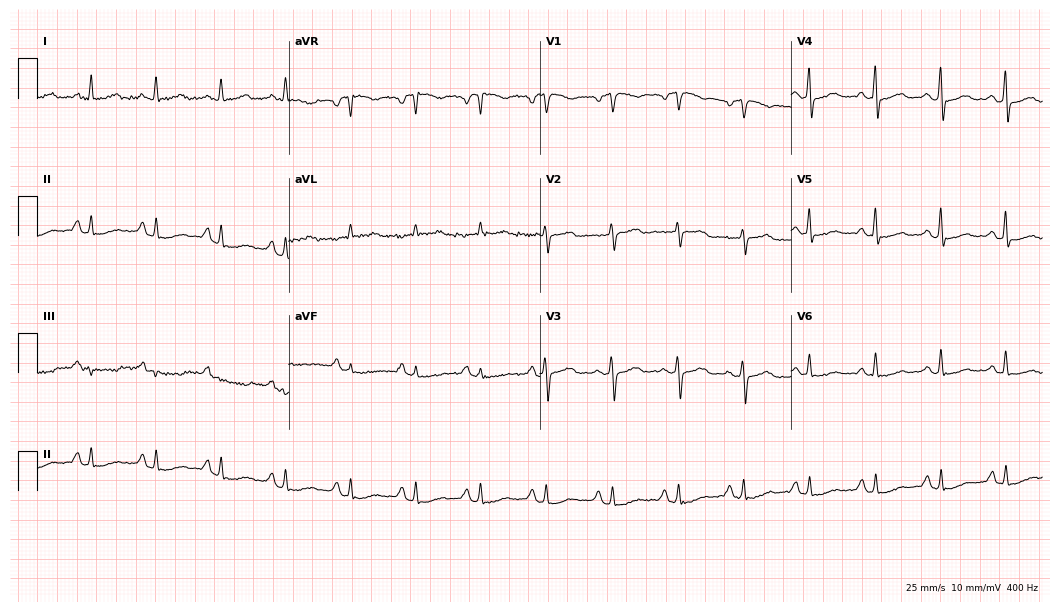
12-lead ECG (10.2-second recording at 400 Hz) from a 54-year-old woman. Screened for six findings — first-degree AV block, right bundle branch block, left bundle branch block, sinus bradycardia, atrial fibrillation, sinus tachycardia — none is recorded. Only these six findings were labelled.